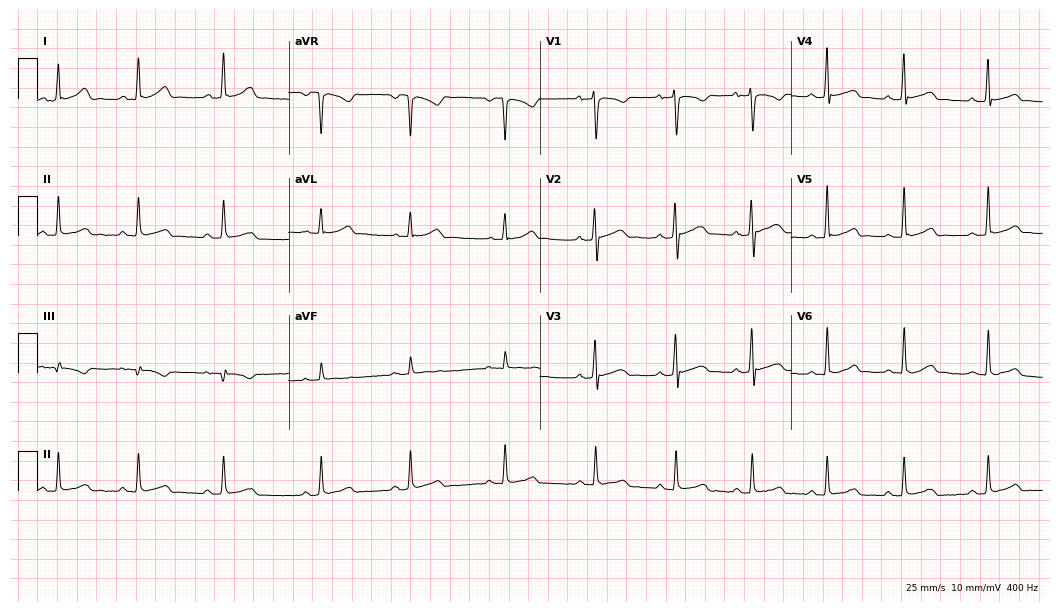
Standard 12-lead ECG recorded from a 24-year-old male patient. Read as a normal ECG.